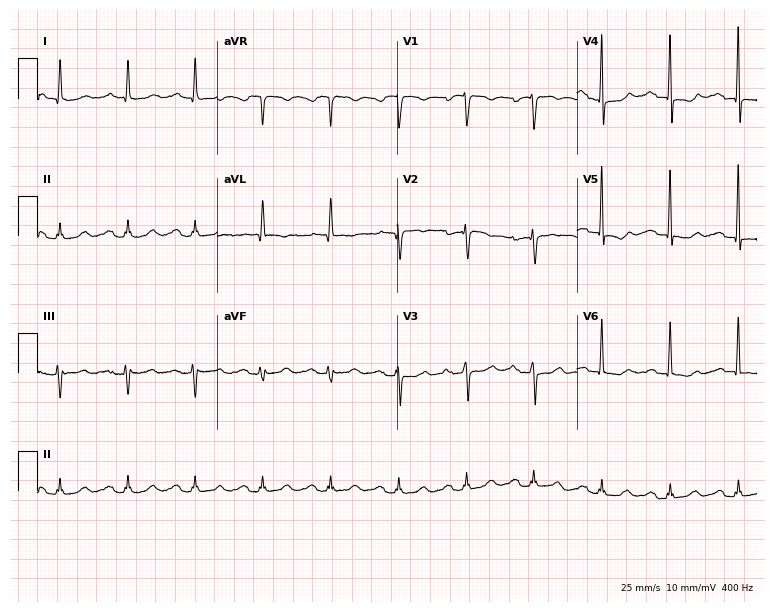
Electrocardiogram (7.3-second recording at 400 Hz), a male, 77 years old. Of the six screened findings (first-degree AV block, right bundle branch block, left bundle branch block, sinus bradycardia, atrial fibrillation, sinus tachycardia), none is recorded.